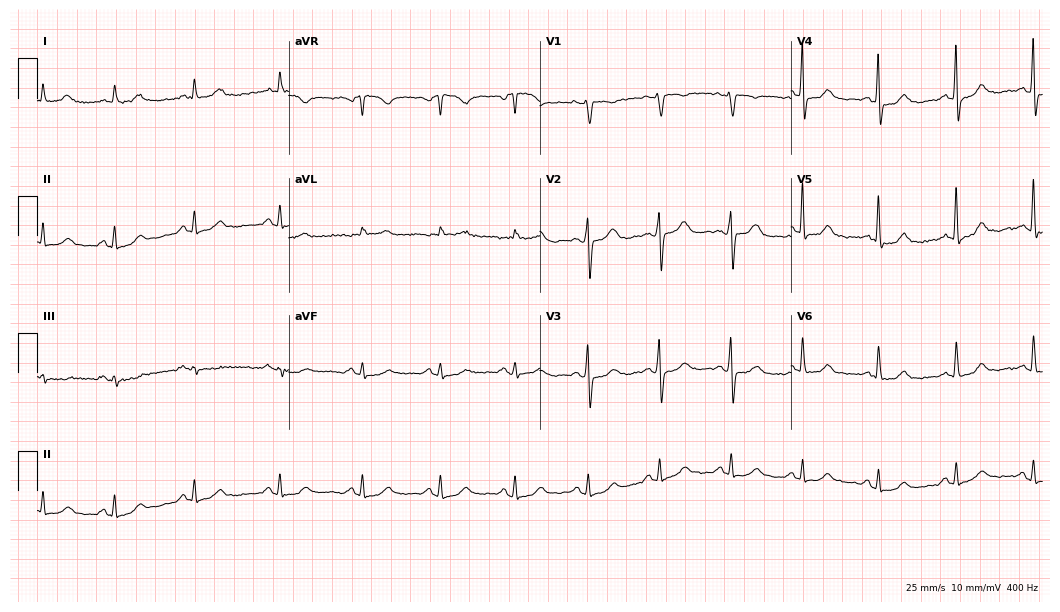
Electrocardiogram (10.2-second recording at 400 Hz), a 67-year-old male patient. Overall reading on record: normal ECG.